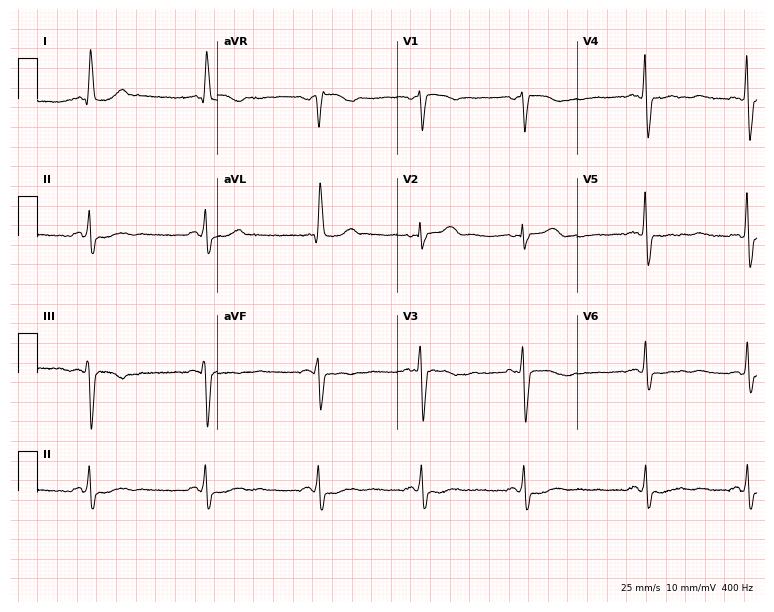
Standard 12-lead ECG recorded from a female, 46 years old (7.3-second recording at 400 Hz). None of these six findings is recorded: first-degree AV block, right bundle branch block (RBBB), left bundle branch block (LBBB), sinus bradycardia, atrial fibrillation (AF), sinus tachycardia.